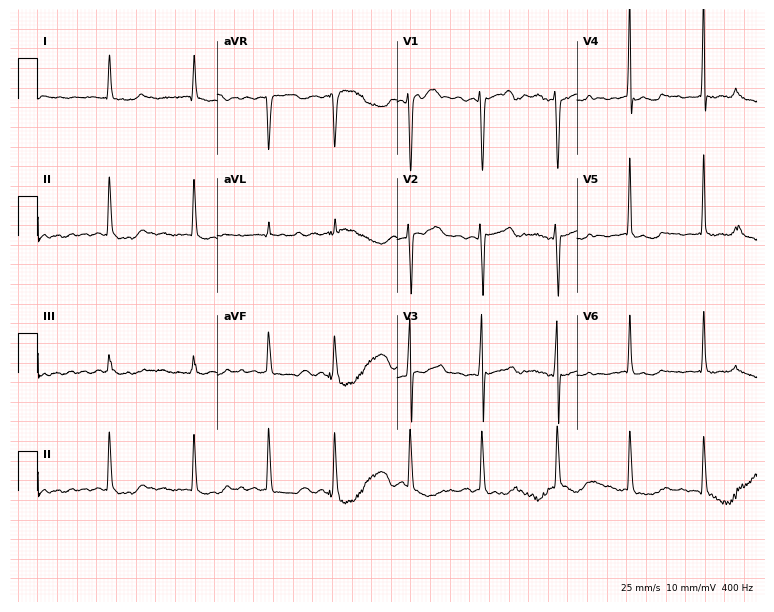
Resting 12-lead electrocardiogram (7.3-second recording at 400 Hz). Patient: a 65-year-old female. None of these six findings is recorded: first-degree AV block, right bundle branch block, left bundle branch block, sinus bradycardia, atrial fibrillation, sinus tachycardia. Other findings, if any, are not listed.